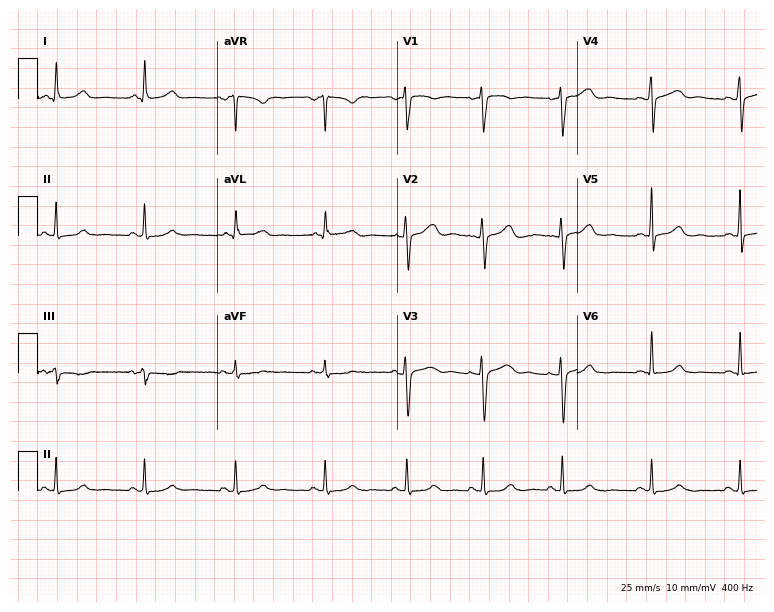
Electrocardiogram, a 38-year-old female patient. Of the six screened findings (first-degree AV block, right bundle branch block, left bundle branch block, sinus bradycardia, atrial fibrillation, sinus tachycardia), none is recorded. Findings outside these six are not listed.